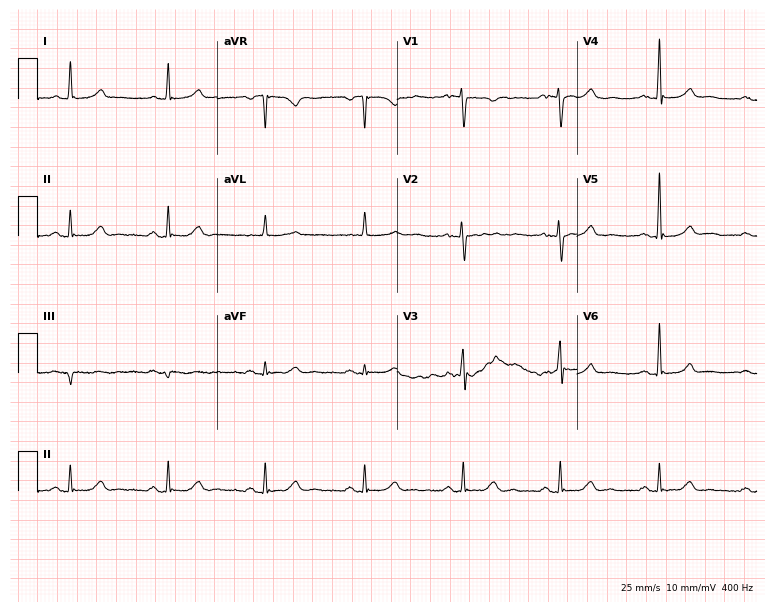
Standard 12-lead ECG recorded from a woman, 59 years old. Read as a normal ECG.